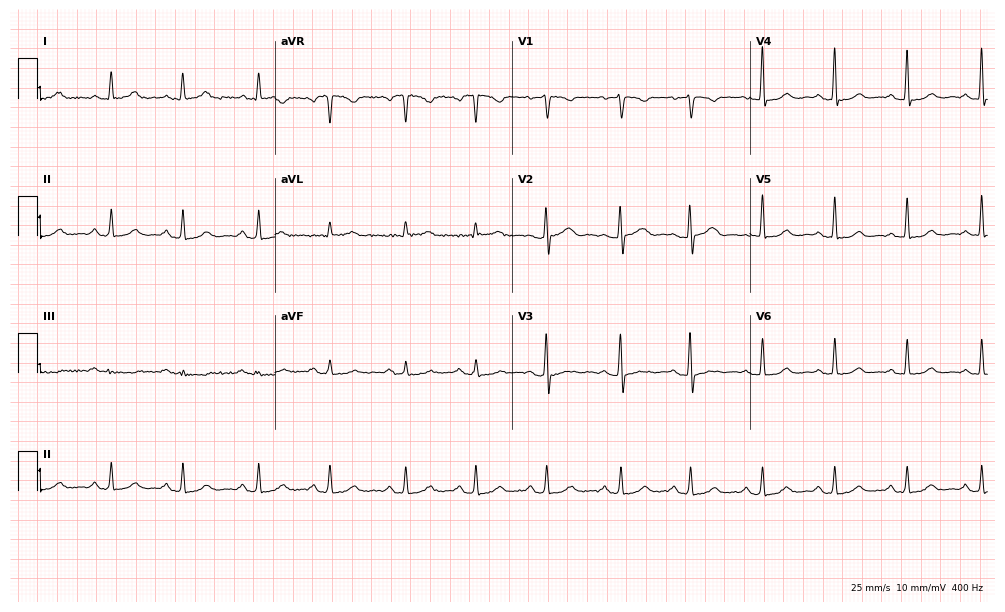
Resting 12-lead electrocardiogram (9.7-second recording at 400 Hz). Patient: a female, 65 years old. Read as a normal ECG.